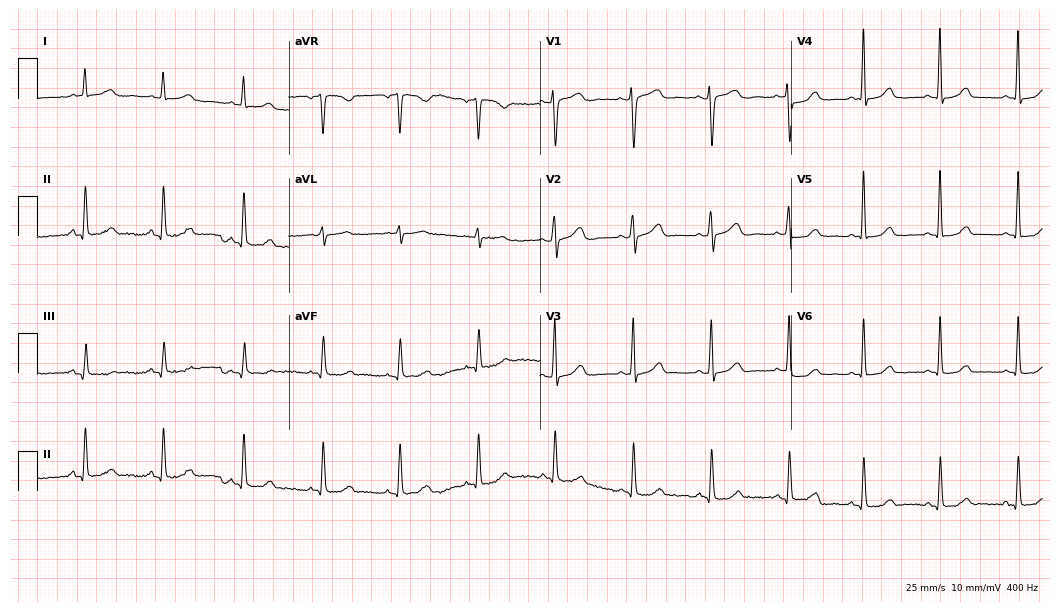
Resting 12-lead electrocardiogram. Patient: a 42-year-old woman. None of these six findings is recorded: first-degree AV block, right bundle branch block (RBBB), left bundle branch block (LBBB), sinus bradycardia, atrial fibrillation (AF), sinus tachycardia. Other findings, if any, are not listed.